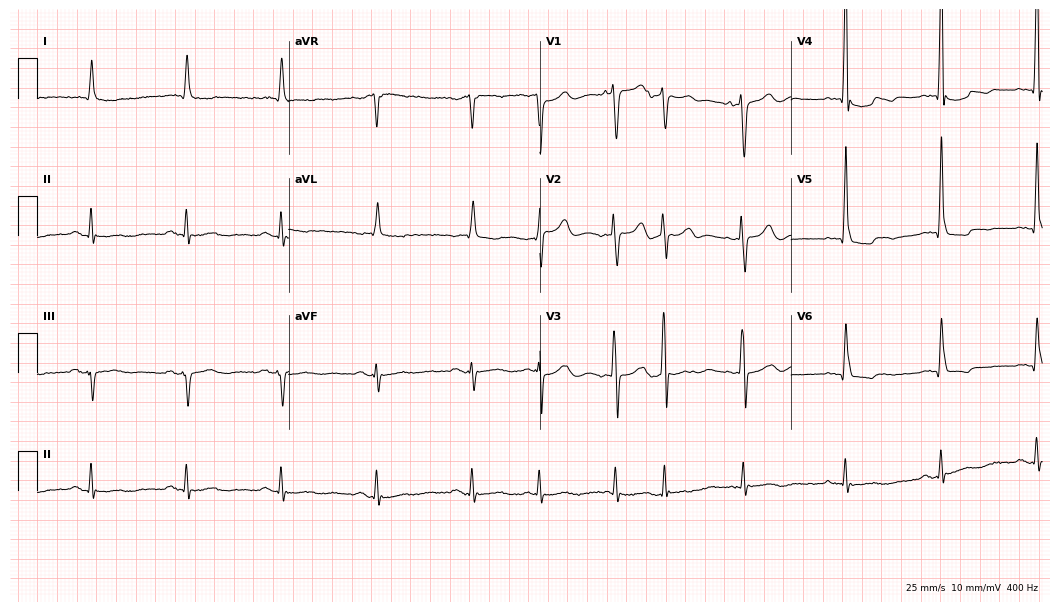
12-lead ECG from an 84-year-old male. No first-degree AV block, right bundle branch block, left bundle branch block, sinus bradycardia, atrial fibrillation or sinus tachycardia recorded for this tracing. Other findings, if any, are not listed.